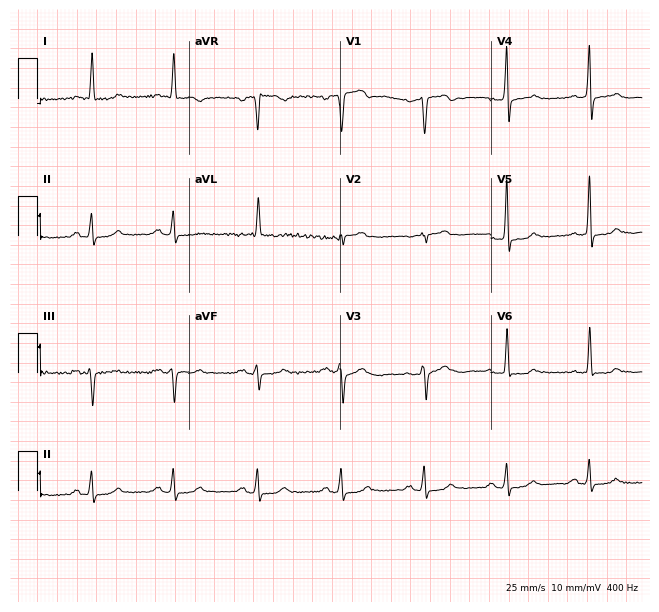
12-lead ECG from a 75-year-old male. Recorded interpretation: within normal limits.